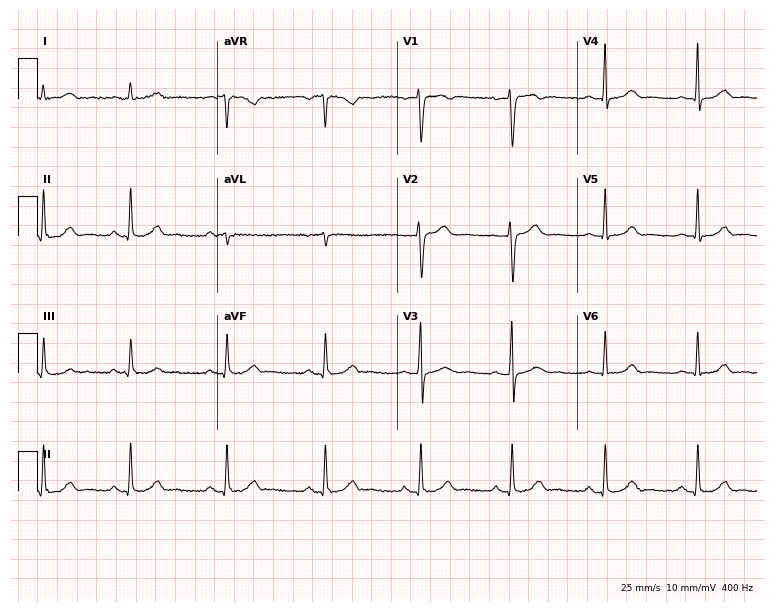
Resting 12-lead electrocardiogram. Patient: a woman, 39 years old. Read as a normal ECG.